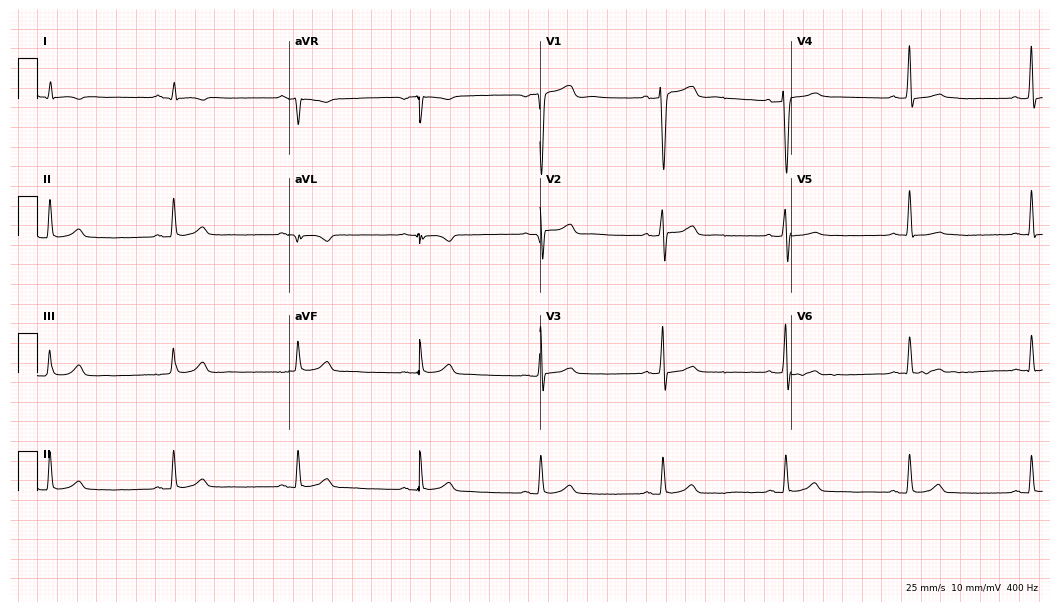
Standard 12-lead ECG recorded from a man, 51 years old (10.2-second recording at 400 Hz). Read as a normal ECG.